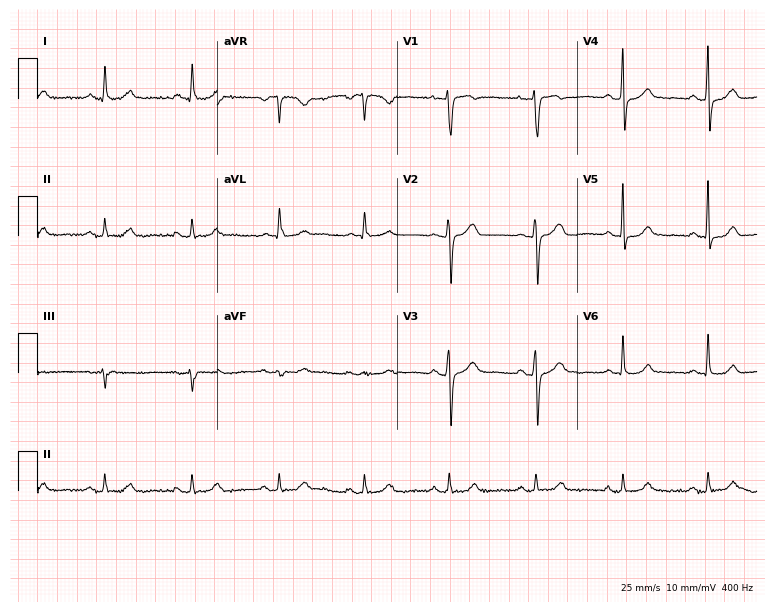
Electrocardiogram (7.3-second recording at 400 Hz), a 75-year-old woman. Overall reading on record: normal ECG.